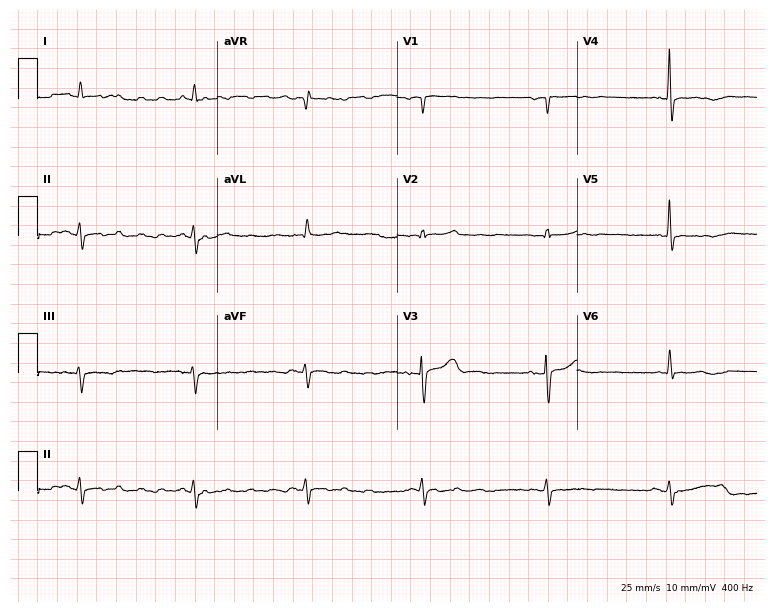
Electrocardiogram, a male, 84 years old. Interpretation includes sinus bradycardia (a sinus rate of 50 beats per minute or less).